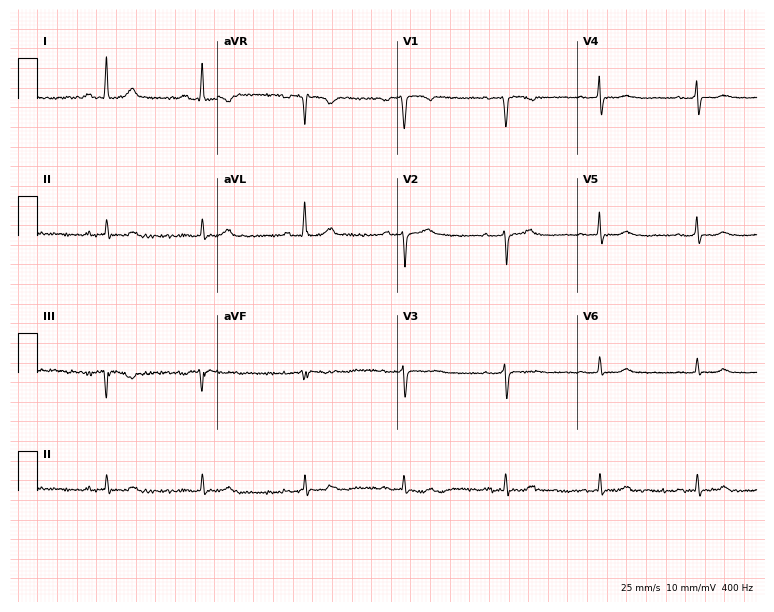
ECG (7.3-second recording at 400 Hz) — a 51-year-old female. Screened for six findings — first-degree AV block, right bundle branch block (RBBB), left bundle branch block (LBBB), sinus bradycardia, atrial fibrillation (AF), sinus tachycardia — none is recorded. Only these six findings were labelled.